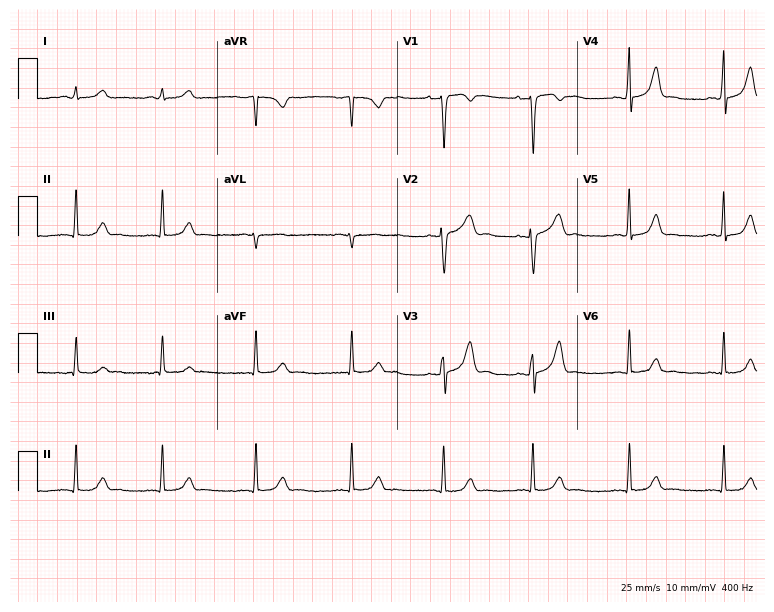
ECG (7.3-second recording at 400 Hz) — a female patient, 22 years old. Labelled as a normal ECG.